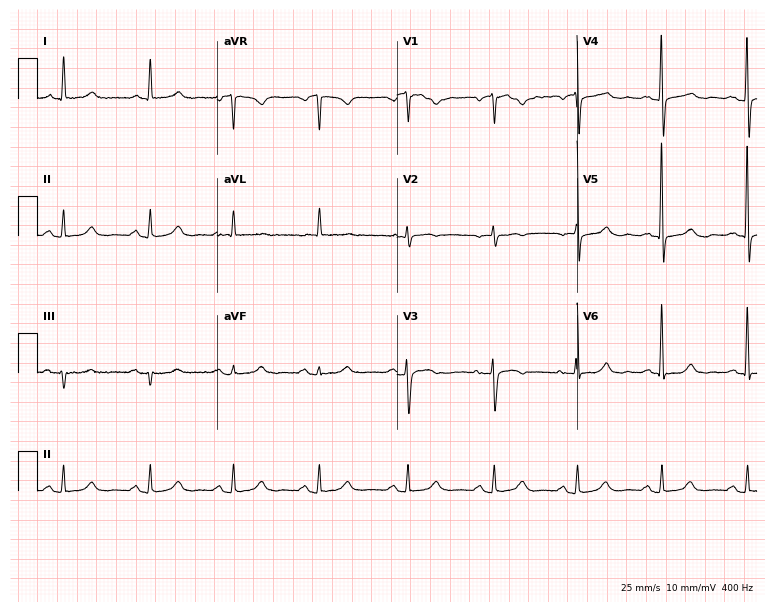
Resting 12-lead electrocardiogram. Patient: a female, 64 years old. None of these six findings is recorded: first-degree AV block, right bundle branch block, left bundle branch block, sinus bradycardia, atrial fibrillation, sinus tachycardia.